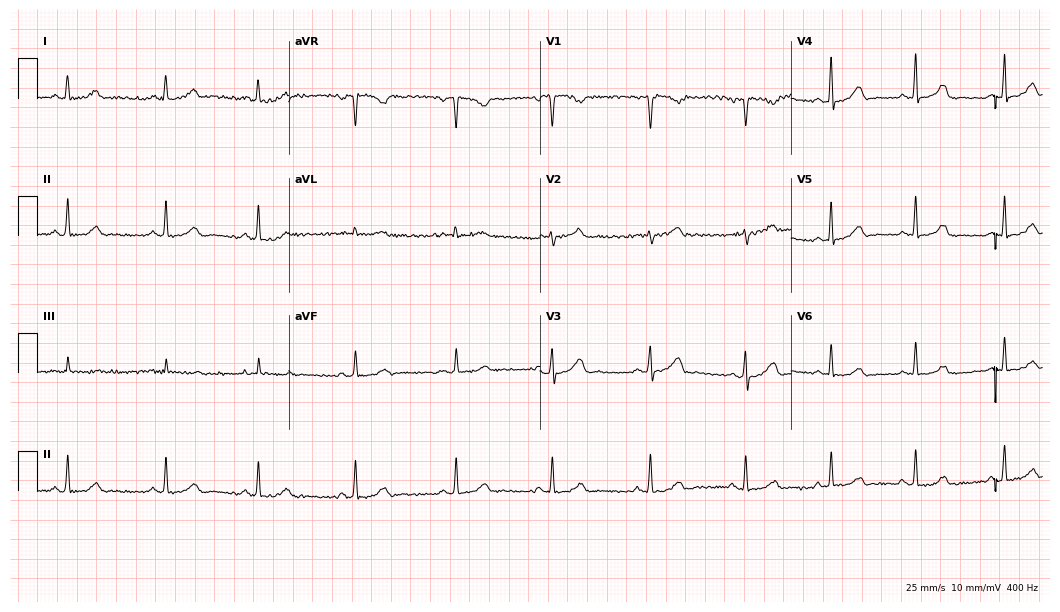
12-lead ECG (10.2-second recording at 400 Hz) from a 43-year-old woman. Screened for six findings — first-degree AV block, right bundle branch block, left bundle branch block, sinus bradycardia, atrial fibrillation, sinus tachycardia — none is recorded. Other findings, if any, are not listed.